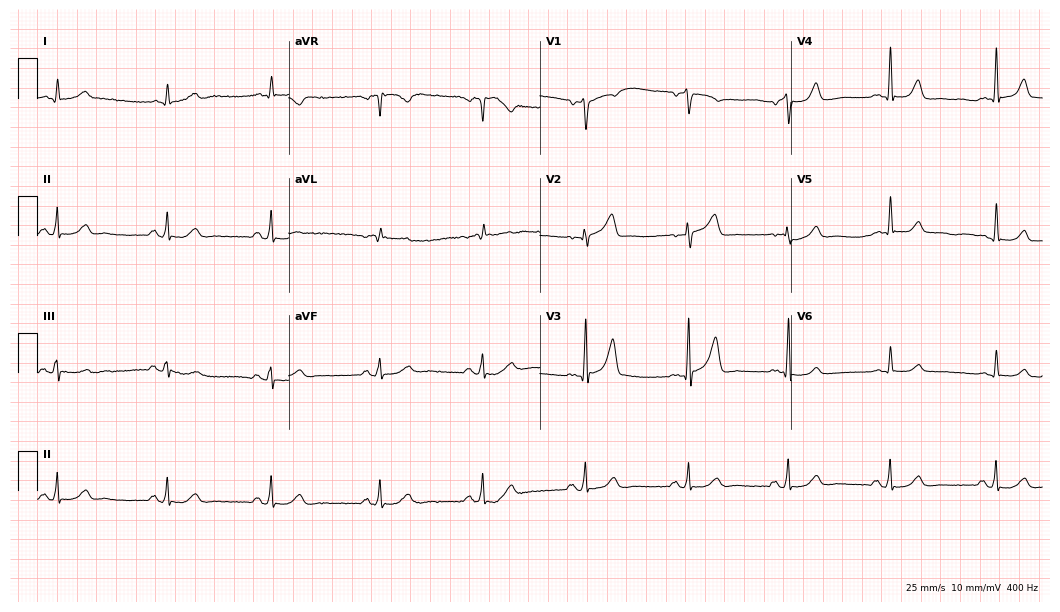
Standard 12-lead ECG recorded from a 68-year-old male patient (10.2-second recording at 400 Hz). None of these six findings is recorded: first-degree AV block, right bundle branch block (RBBB), left bundle branch block (LBBB), sinus bradycardia, atrial fibrillation (AF), sinus tachycardia. Findings outside these six are not listed.